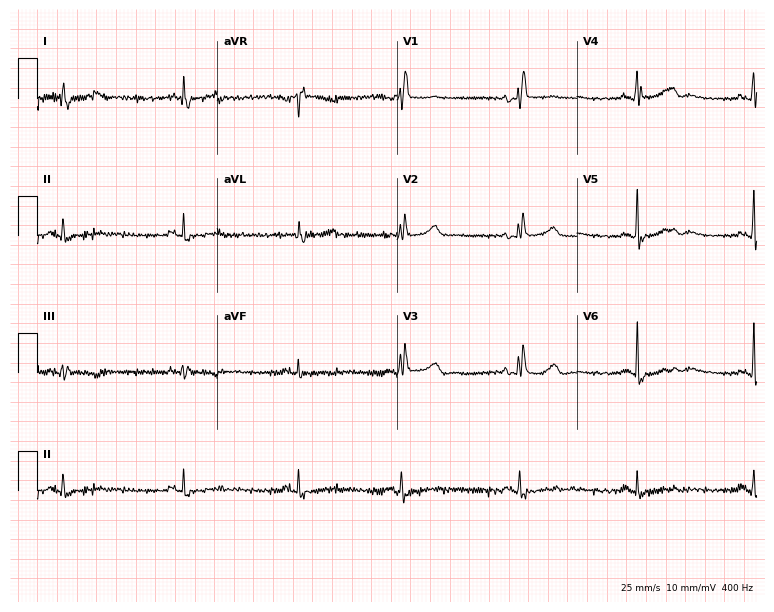
Standard 12-lead ECG recorded from a female, 58 years old (7.3-second recording at 400 Hz). None of these six findings is recorded: first-degree AV block, right bundle branch block, left bundle branch block, sinus bradycardia, atrial fibrillation, sinus tachycardia.